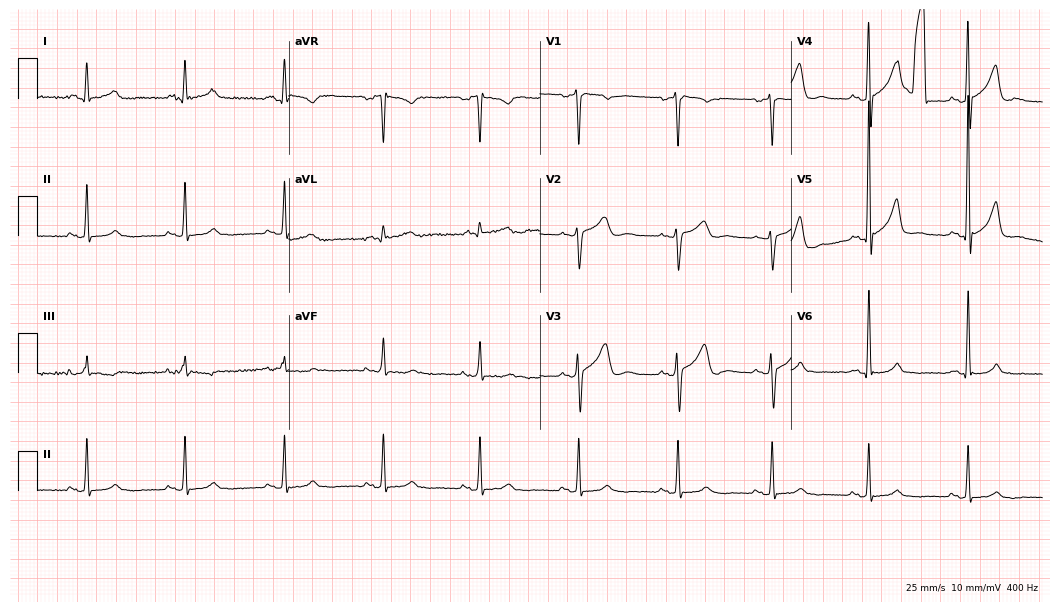
Resting 12-lead electrocardiogram. Patient: a man, 51 years old. None of these six findings is recorded: first-degree AV block, right bundle branch block (RBBB), left bundle branch block (LBBB), sinus bradycardia, atrial fibrillation (AF), sinus tachycardia. Other findings, if any, are not listed.